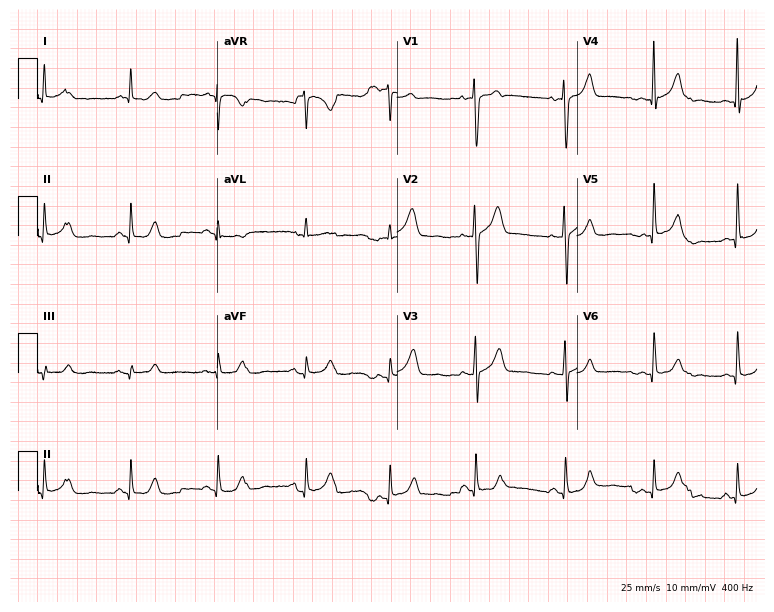
12-lead ECG from a male patient, 43 years old. No first-degree AV block, right bundle branch block (RBBB), left bundle branch block (LBBB), sinus bradycardia, atrial fibrillation (AF) or sinus tachycardia recorded for this tracing. Only these six findings were labelled.